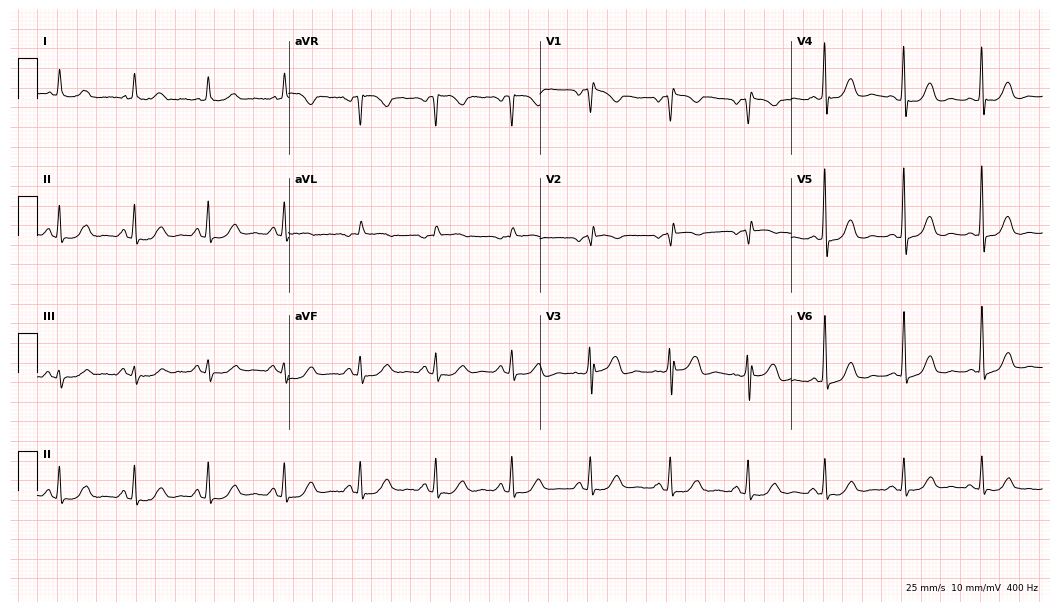
Standard 12-lead ECG recorded from a woman, 53 years old. Read as a normal ECG.